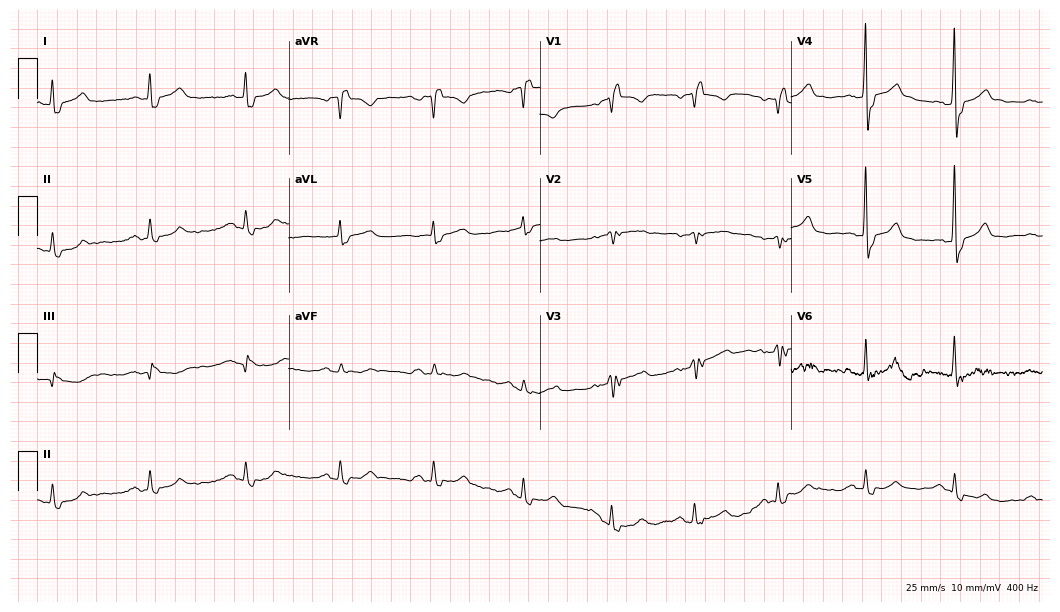
Electrocardiogram (10.2-second recording at 400 Hz), a 69-year-old female. Of the six screened findings (first-degree AV block, right bundle branch block (RBBB), left bundle branch block (LBBB), sinus bradycardia, atrial fibrillation (AF), sinus tachycardia), none is recorded. Only these six findings were labelled.